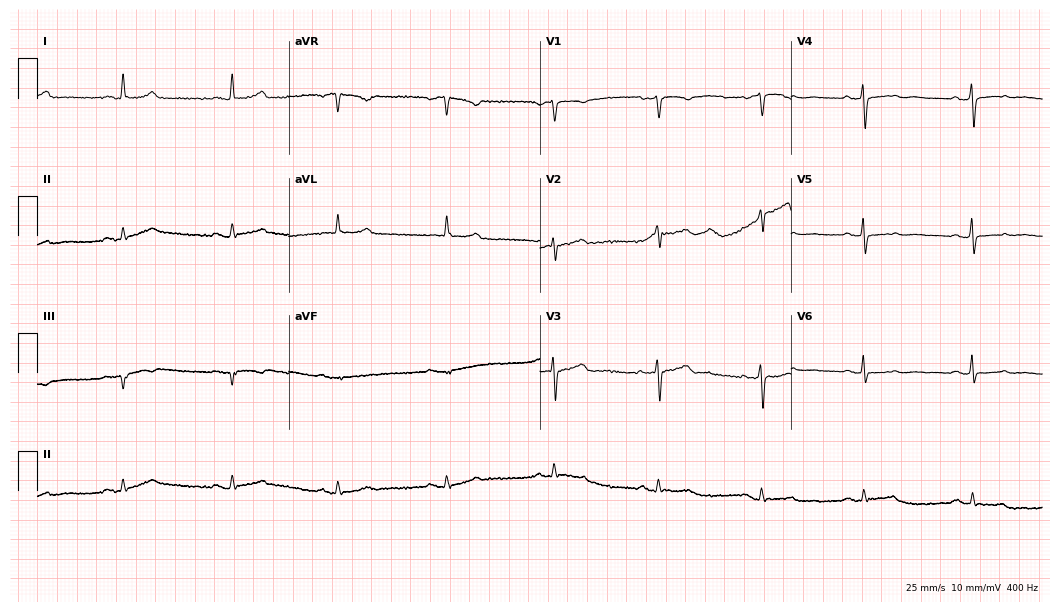
12-lead ECG (10.2-second recording at 400 Hz) from a 69-year-old female. Screened for six findings — first-degree AV block, right bundle branch block, left bundle branch block, sinus bradycardia, atrial fibrillation, sinus tachycardia — none is recorded.